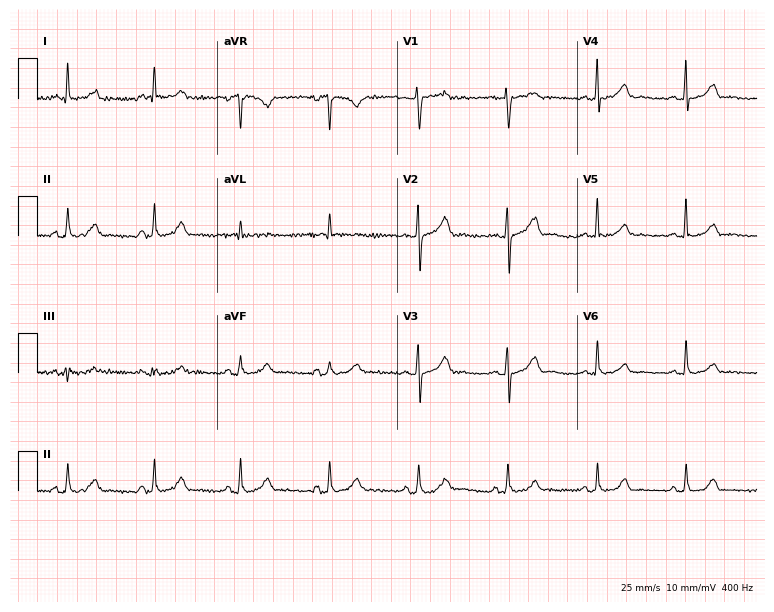
12-lead ECG from a 75-year-old woman. Recorded interpretation: within normal limits.